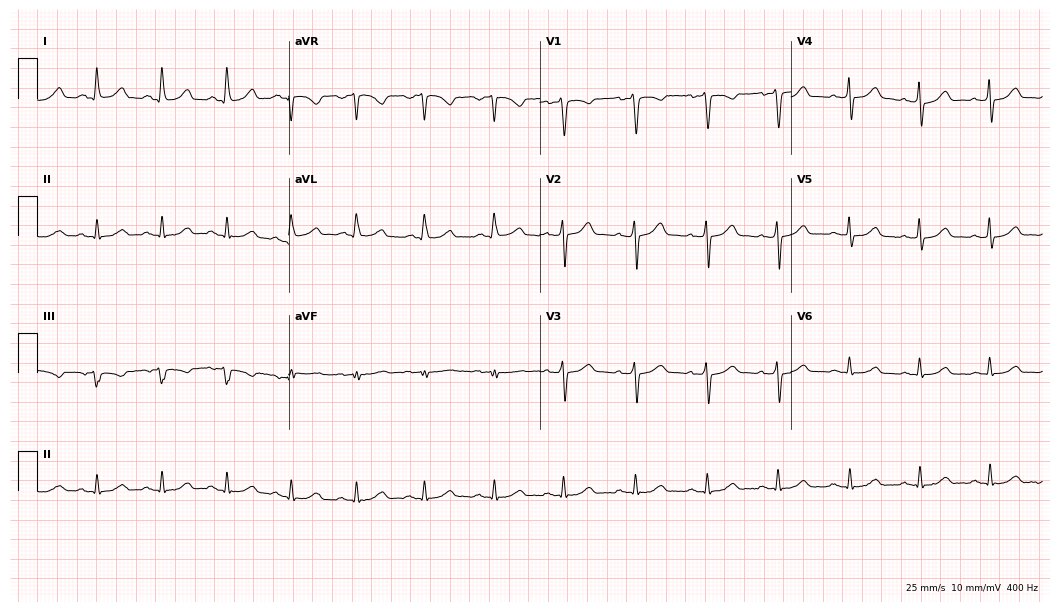
Standard 12-lead ECG recorded from a 39-year-old female patient. Read as a normal ECG.